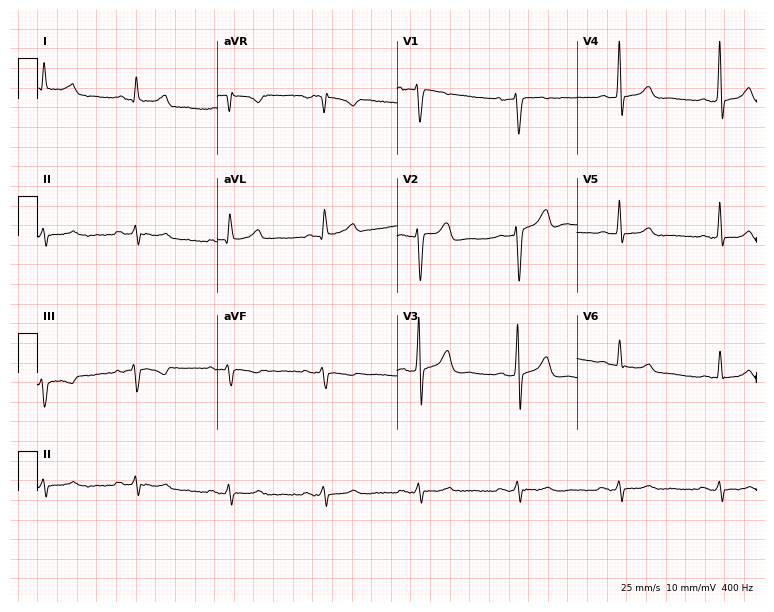
12-lead ECG (7.3-second recording at 400 Hz) from a man, 52 years old. Screened for six findings — first-degree AV block, right bundle branch block, left bundle branch block, sinus bradycardia, atrial fibrillation, sinus tachycardia — none is recorded.